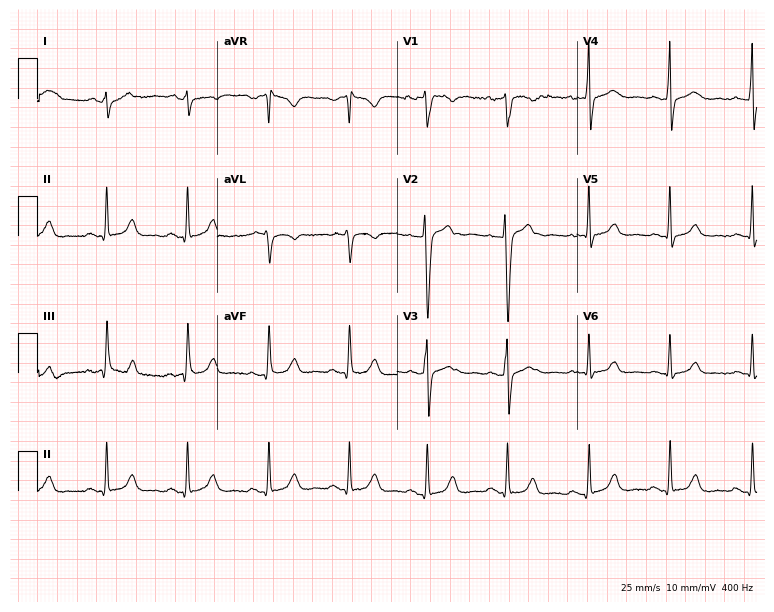
Resting 12-lead electrocardiogram (7.3-second recording at 400 Hz). Patient: a 40-year-old male. None of these six findings is recorded: first-degree AV block, right bundle branch block, left bundle branch block, sinus bradycardia, atrial fibrillation, sinus tachycardia. Only these six findings were labelled.